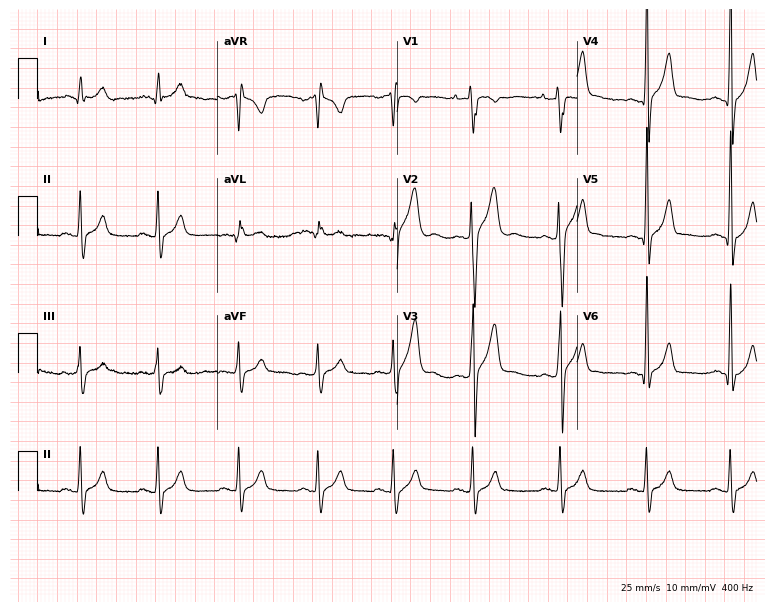
12-lead ECG from a 21-year-old male patient. Labelled as a normal ECG.